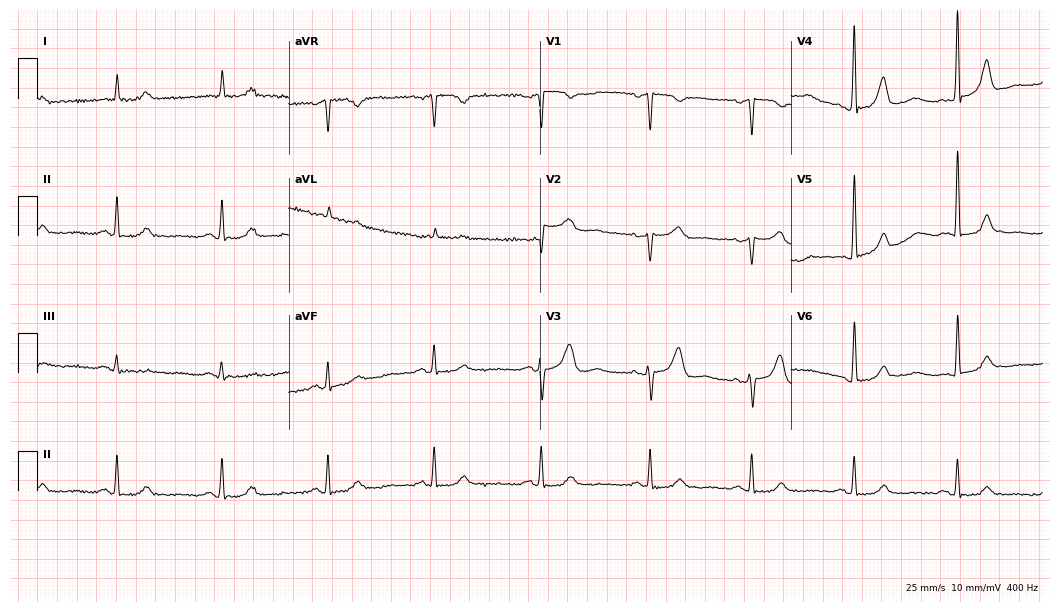
Resting 12-lead electrocardiogram (10.2-second recording at 400 Hz). Patient: a 76-year-old female. Read as a normal ECG.